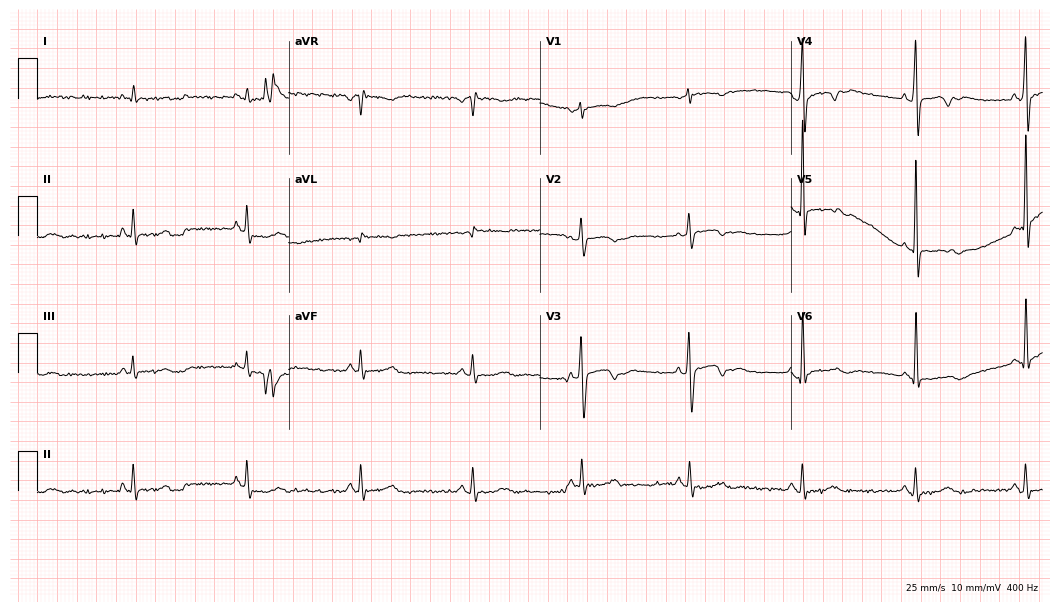
12-lead ECG from a 79-year-old man. Screened for six findings — first-degree AV block, right bundle branch block, left bundle branch block, sinus bradycardia, atrial fibrillation, sinus tachycardia — none is recorded. Findings outside these six are not listed.